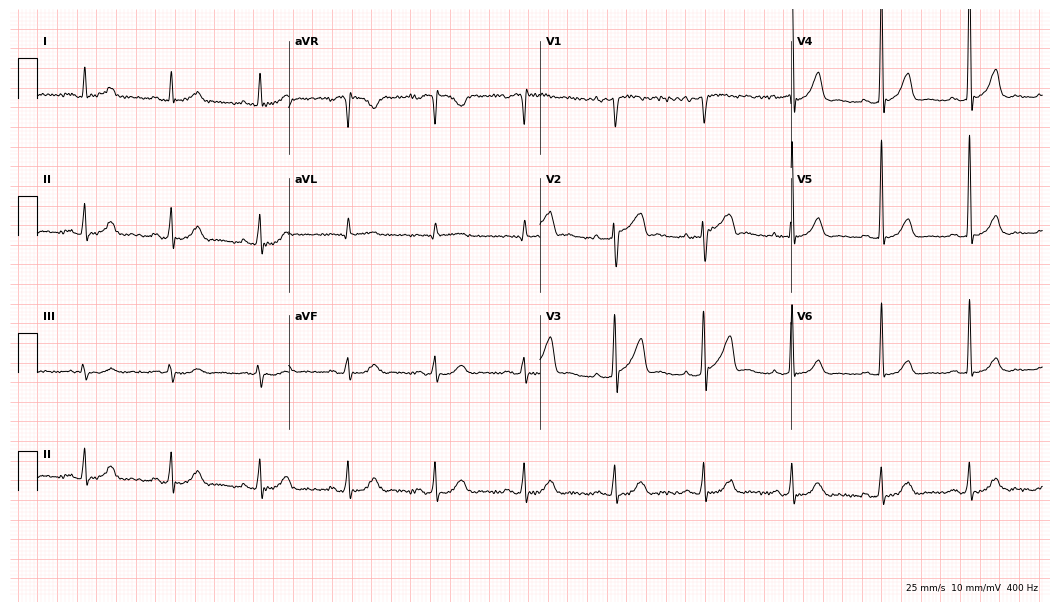
Resting 12-lead electrocardiogram. Patient: a 65-year-old male. None of these six findings is recorded: first-degree AV block, right bundle branch block, left bundle branch block, sinus bradycardia, atrial fibrillation, sinus tachycardia.